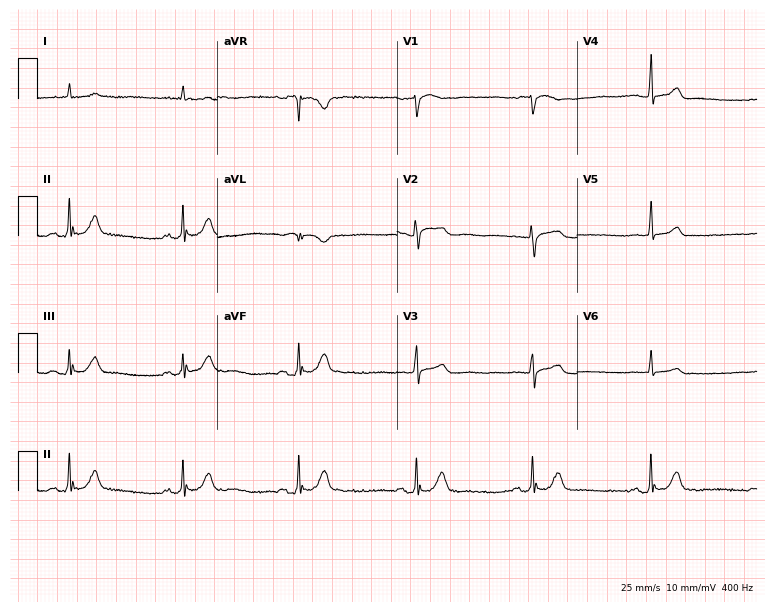
Standard 12-lead ECG recorded from a male, 79 years old (7.3-second recording at 400 Hz). Read as a normal ECG.